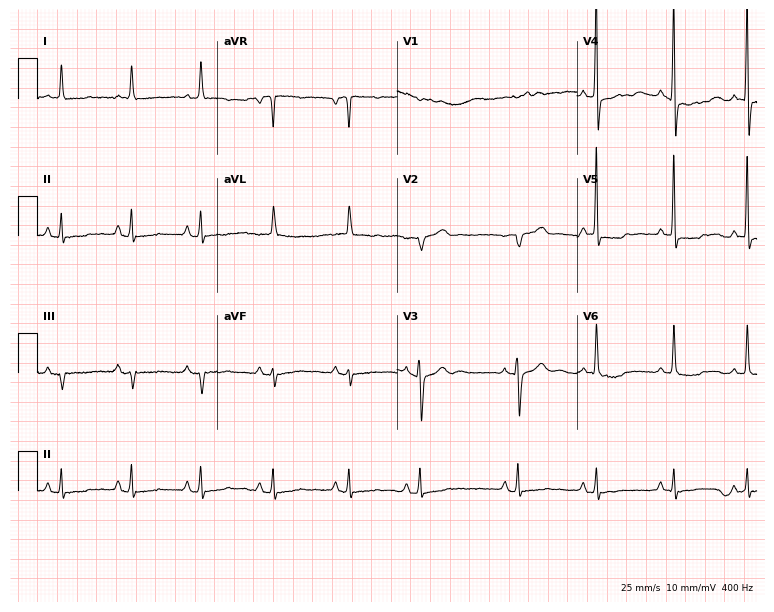
Standard 12-lead ECG recorded from a female patient, 76 years old (7.3-second recording at 400 Hz). None of these six findings is recorded: first-degree AV block, right bundle branch block, left bundle branch block, sinus bradycardia, atrial fibrillation, sinus tachycardia.